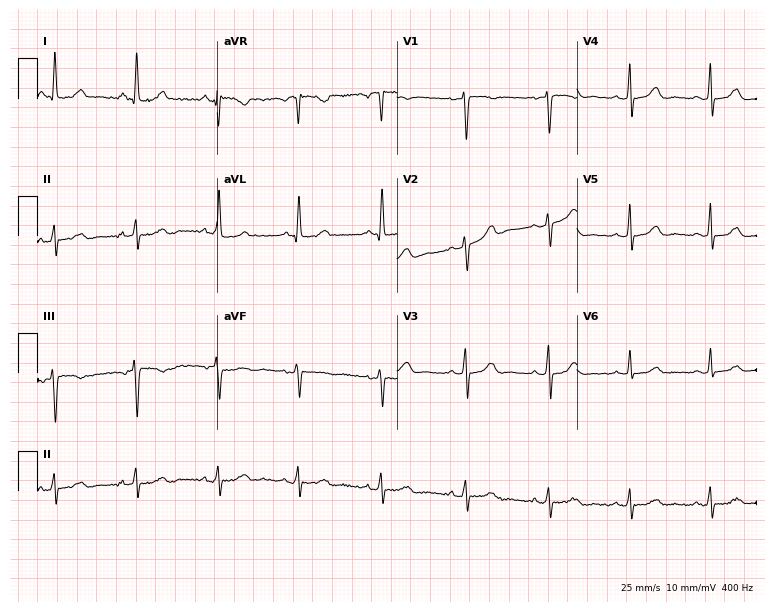
Standard 12-lead ECG recorded from a 43-year-old woman. None of these six findings is recorded: first-degree AV block, right bundle branch block (RBBB), left bundle branch block (LBBB), sinus bradycardia, atrial fibrillation (AF), sinus tachycardia. Findings outside these six are not listed.